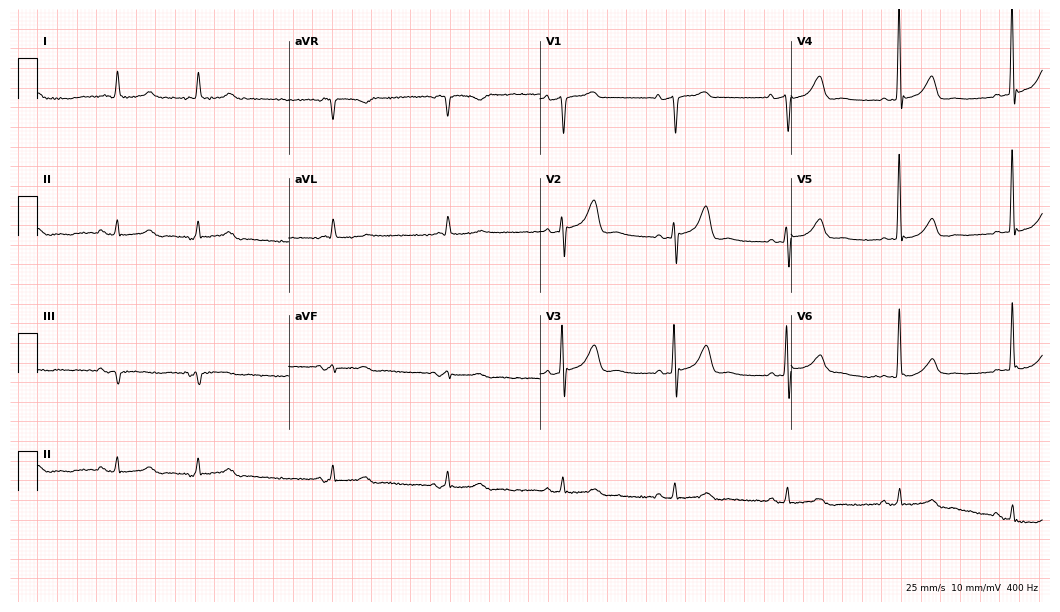
12-lead ECG from an 87-year-old woman. Screened for six findings — first-degree AV block, right bundle branch block, left bundle branch block, sinus bradycardia, atrial fibrillation, sinus tachycardia — none is recorded.